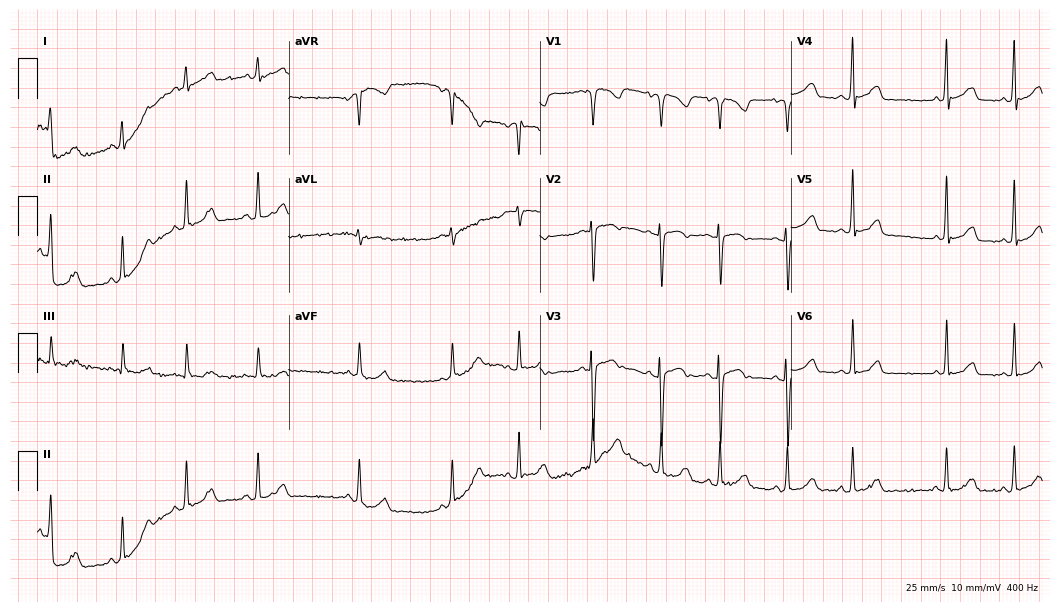
12-lead ECG from a male patient, 32 years old. Labelled as a normal ECG.